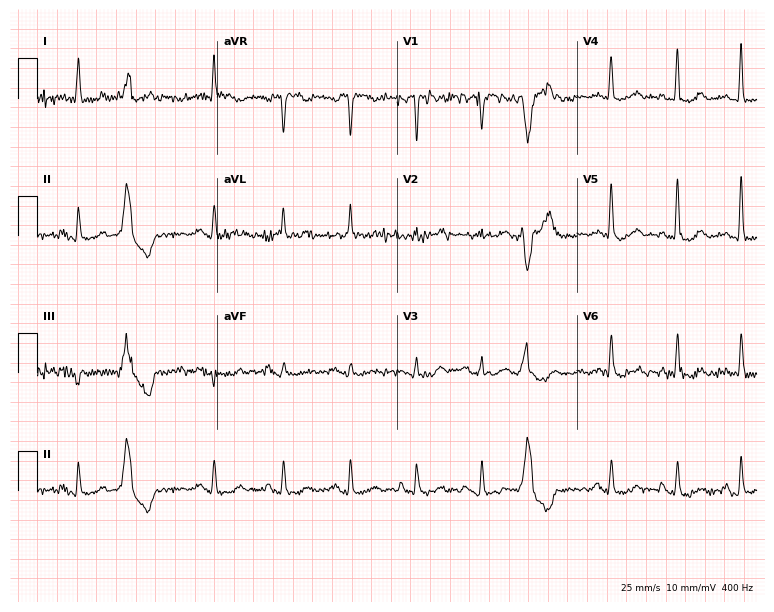
12-lead ECG from a 70-year-old female (7.3-second recording at 400 Hz). No first-degree AV block, right bundle branch block, left bundle branch block, sinus bradycardia, atrial fibrillation or sinus tachycardia recorded for this tracing.